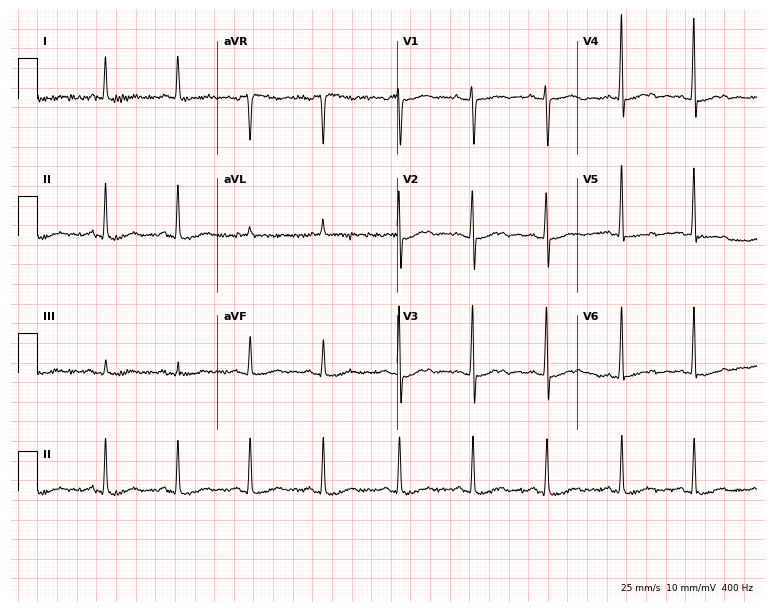
12-lead ECG (7.3-second recording at 400 Hz) from a 74-year-old woman. Screened for six findings — first-degree AV block, right bundle branch block, left bundle branch block, sinus bradycardia, atrial fibrillation, sinus tachycardia — none is recorded.